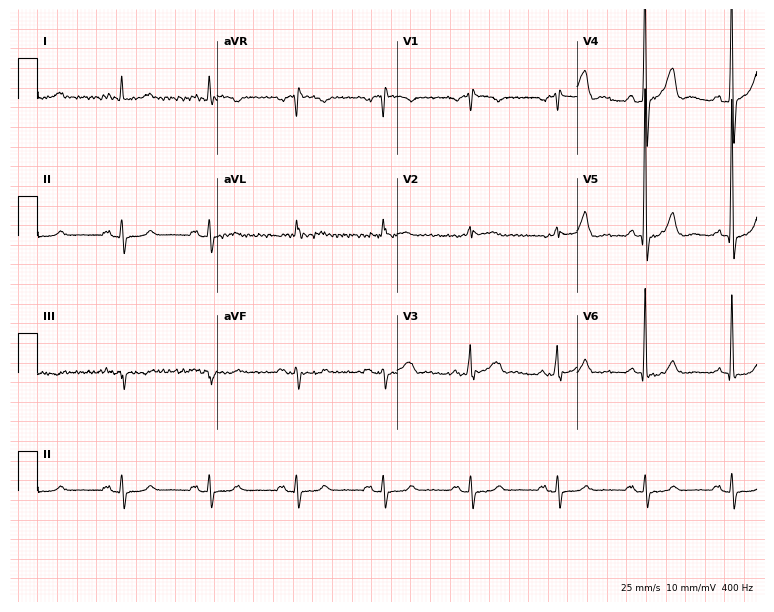
12-lead ECG (7.3-second recording at 400 Hz) from a 76-year-old male patient. Screened for six findings — first-degree AV block, right bundle branch block, left bundle branch block, sinus bradycardia, atrial fibrillation, sinus tachycardia — none is recorded. Findings outside these six are not listed.